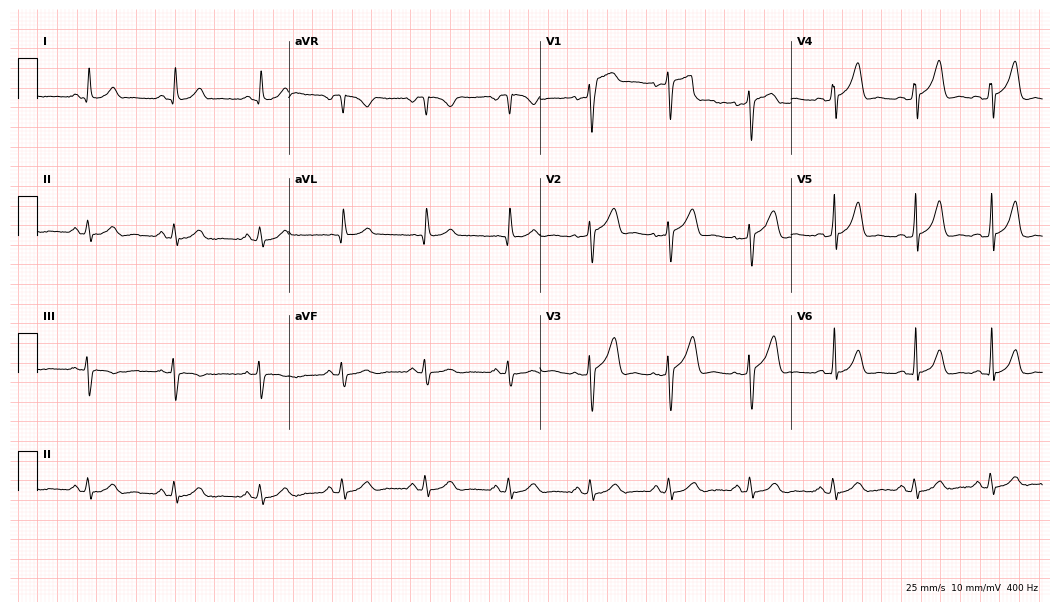
12-lead ECG from a man, 25 years old. Recorded interpretation: within normal limits.